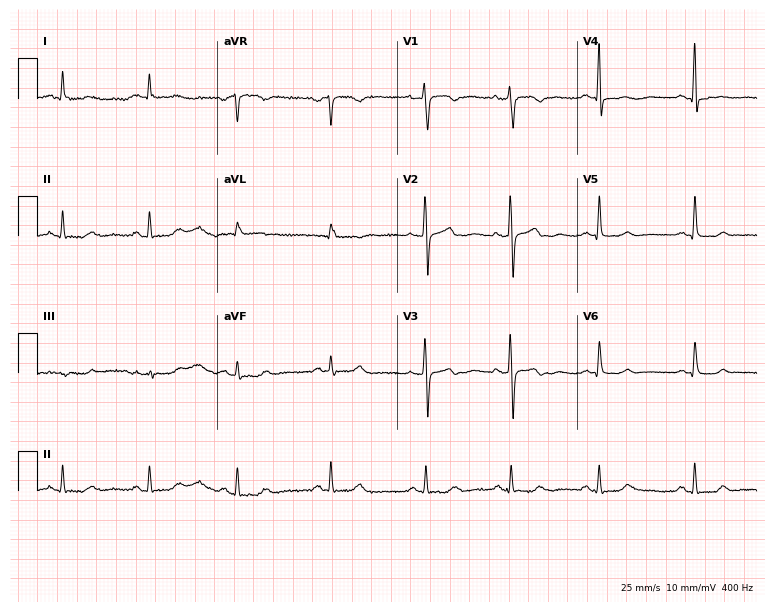
12-lead ECG from a 60-year-old female (7.3-second recording at 400 Hz). No first-degree AV block, right bundle branch block, left bundle branch block, sinus bradycardia, atrial fibrillation or sinus tachycardia recorded for this tracing.